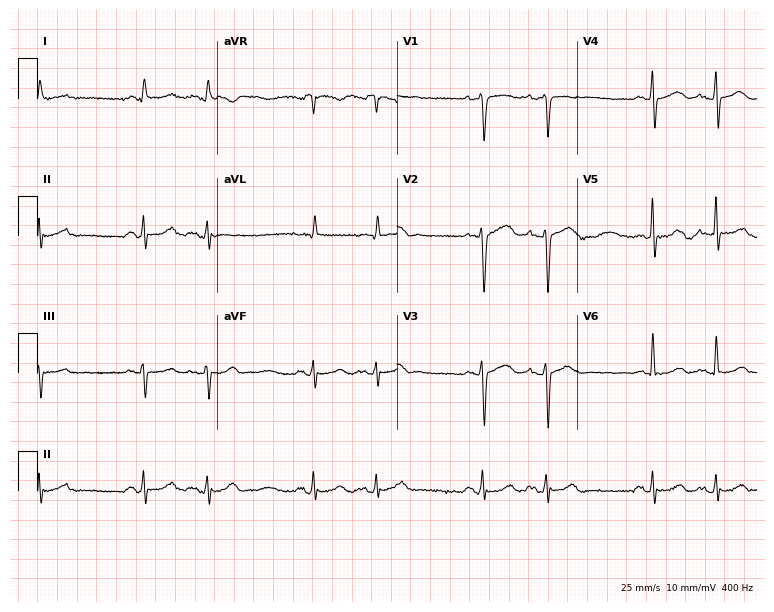
Electrocardiogram (7.3-second recording at 400 Hz), a man, 84 years old. Of the six screened findings (first-degree AV block, right bundle branch block, left bundle branch block, sinus bradycardia, atrial fibrillation, sinus tachycardia), none is recorded.